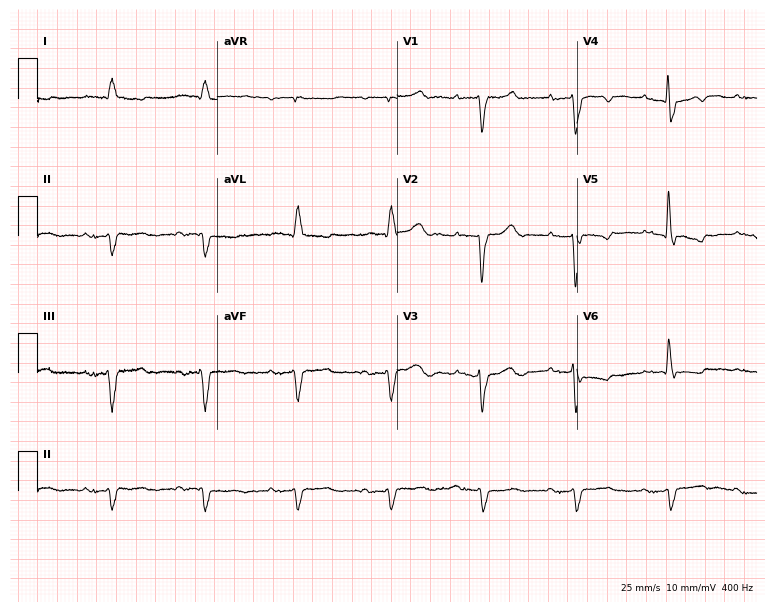
Standard 12-lead ECG recorded from a male patient, 77 years old. The tracing shows left bundle branch block (LBBB).